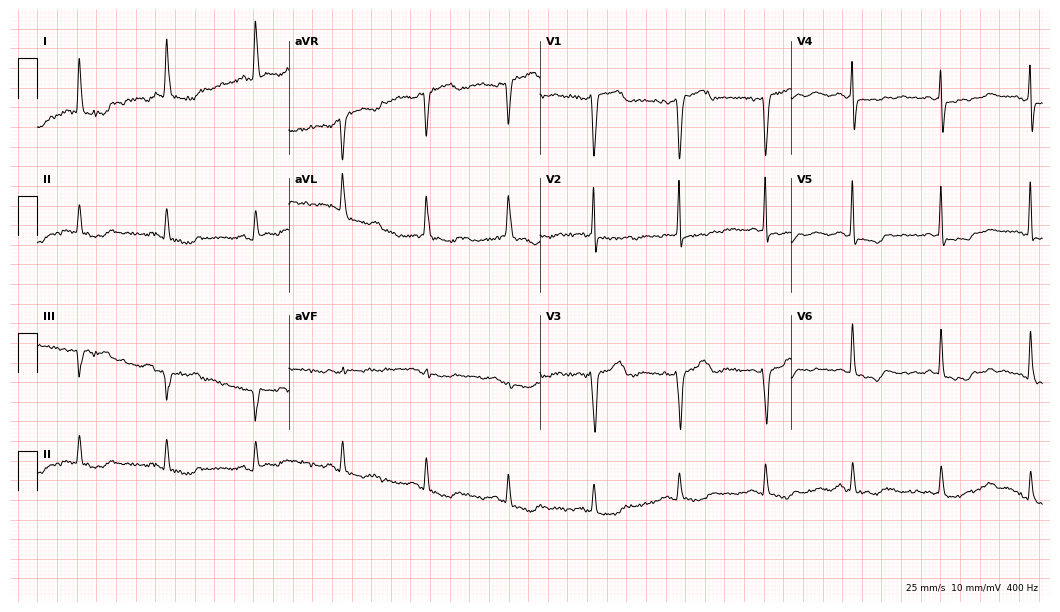
12-lead ECG (10.2-second recording at 400 Hz) from a female, 82 years old. Screened for six findings — first-degree AV block, right bundle branch block (RBBB), left bundle branch block (LBBB), sinus bradycardia, atrial fibrillation (AF), sinus tachycardia — none is recorded. Other findings, if any, are not listed.